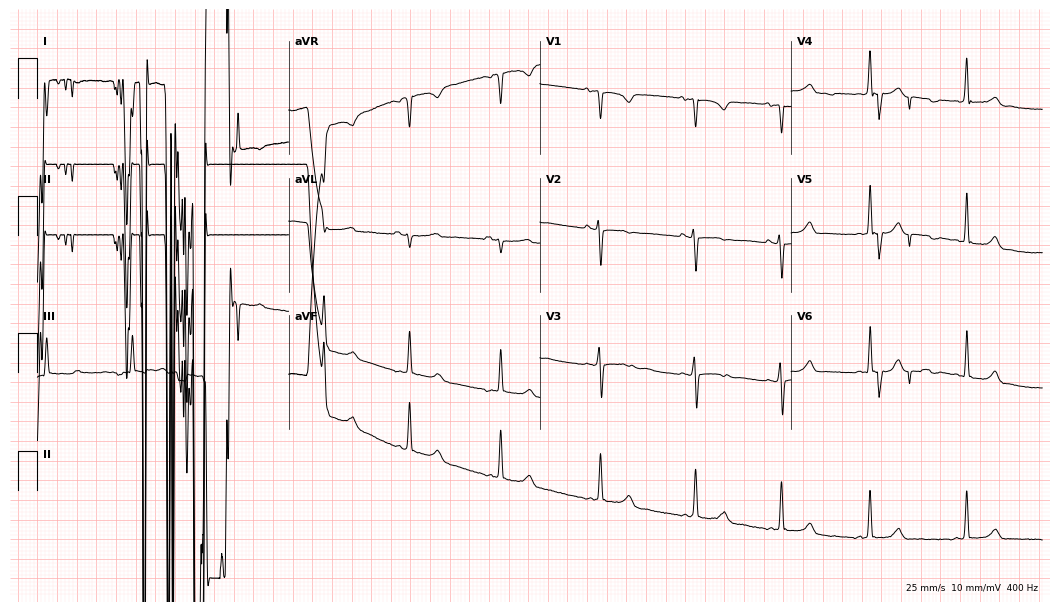
Standard 12-lead ECG recorded from a woman, 17 years old (10.2-second recording at 400 Hz). None of these six findings is recorded: first-degree AV block, right bundle branch block, left bundle branch block, sinus bradycardia, atrial fibrillation, sinus tachycardia. Only these six findings were labelled.